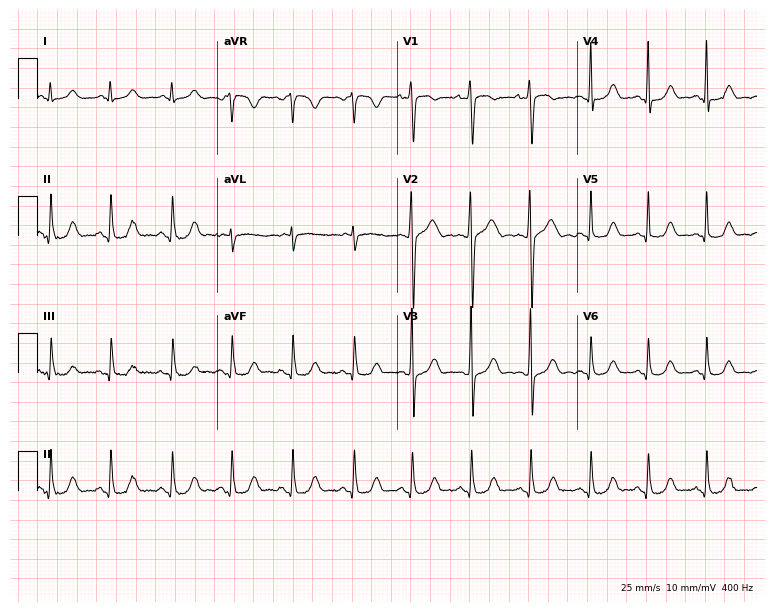
Resting 12-lead electrocardiogram. Patient: a 24-year-old female. Read as a normal ECG.